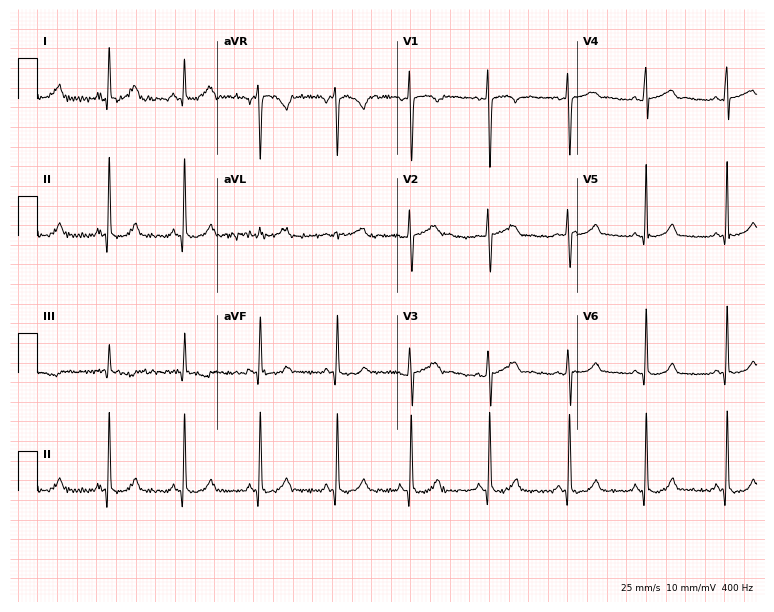
ECG (7.3-second recording at 400 Hz) — a 26-year-old woman. Labelled as a normal ECG.